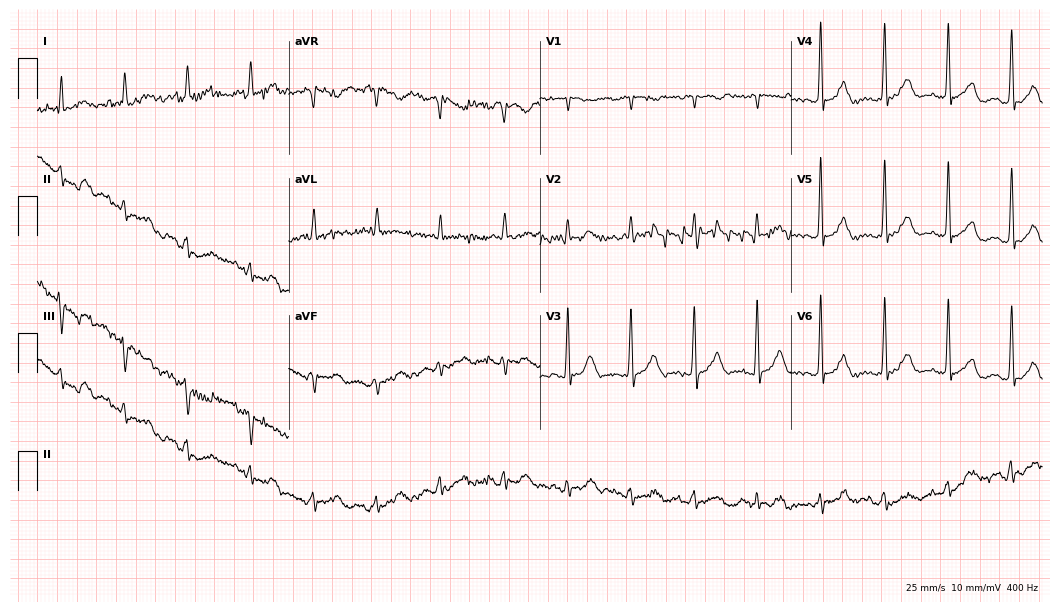
ECG — a 79-year-old man. Screened for six findings — first-degree AV block, right bundle branch block, left bundle branch block, sinus bradycardia, atrial fibrillation, sinus tachycardia — none is recorded. Other findings, if any, are not listed.